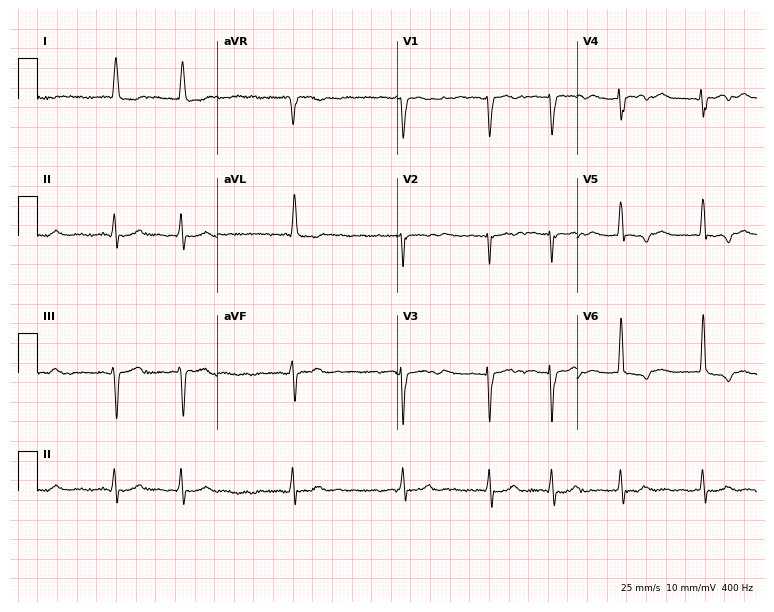
ECG (7.3-second recording at 400 Hz) — a female, 71 years old. Findings include atrial fibrillation (AF).